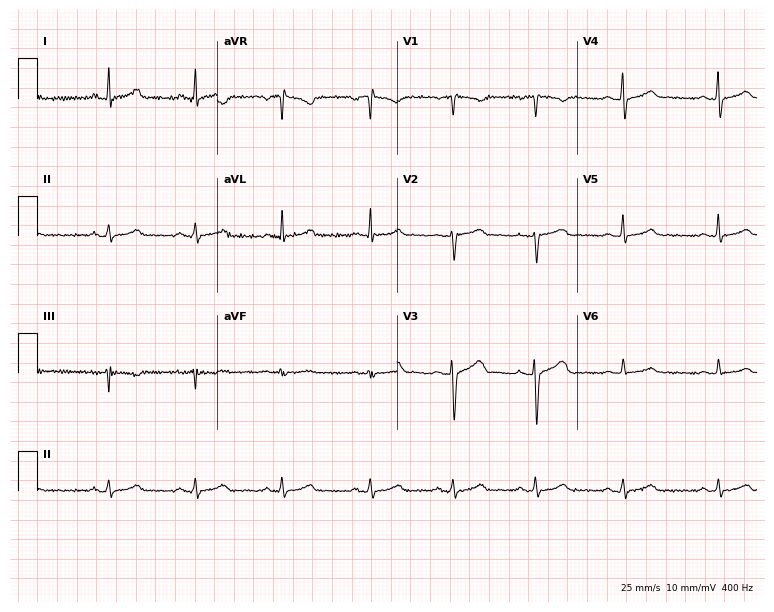
12-lead ECG from a 26-year-old female. Recorded interpretation: within normal limits.